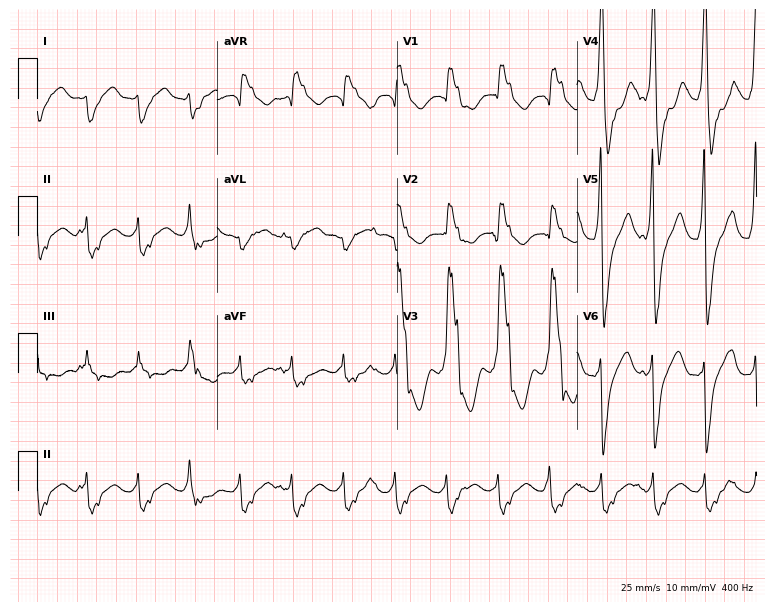
12-lead ECG (7.3-second recording at 400 Hz) from a male, 62 years old. Findings include right bundle branch block, sinus tachycardia (a sinus rate of 100 beats per minute or more).